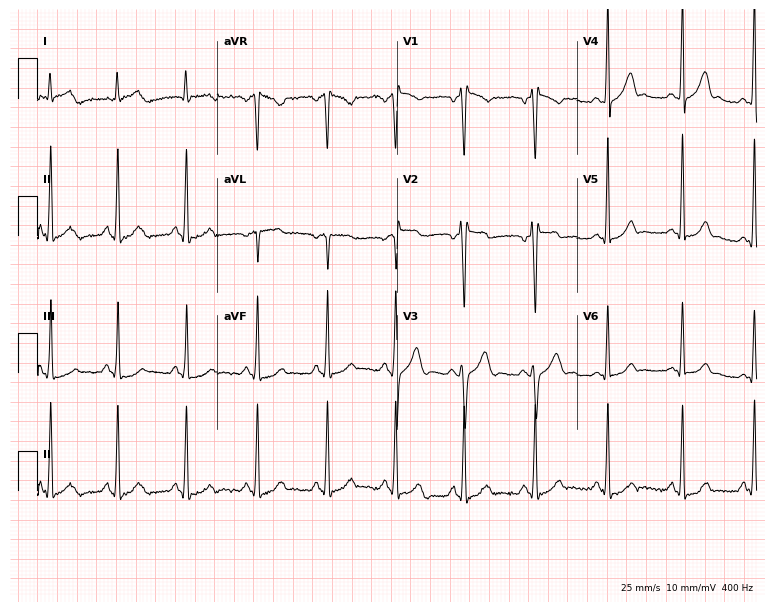
Standard 12-lead ECG recorded from a 21-year-old male. None of these six findings is recorded: first-degree AV block, right bundle branch block, left bundle branch block, sinus bradycardia, atrial fibrillation, sinus tachycardia.